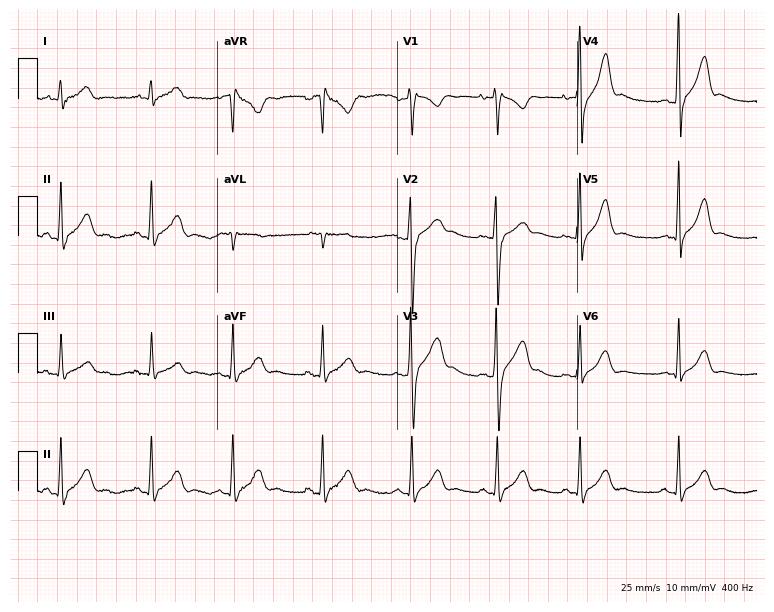
Standard 12-lead ECG recorded from a male patient, 18 years old (7.3-second recording at 400 Hz). Read as a normal ECG.